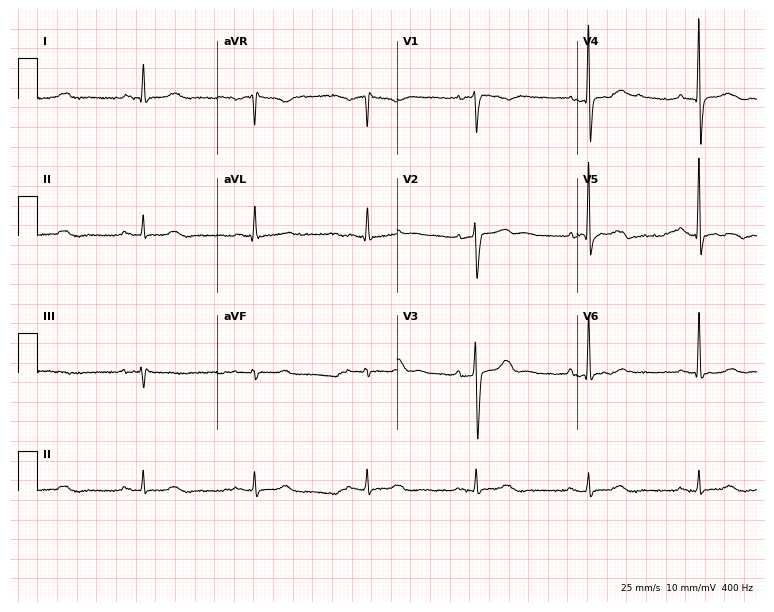
Resting 12-lead electrocardiogram (7.3-second recording at 400 Hz). Patient: a male, 72 years old. None of these six findings is recorded: first-degree AV block, right bundle branch block, left bundle branch block, sinus bradycardia, atrial fibrillation, sinus tachycardia.